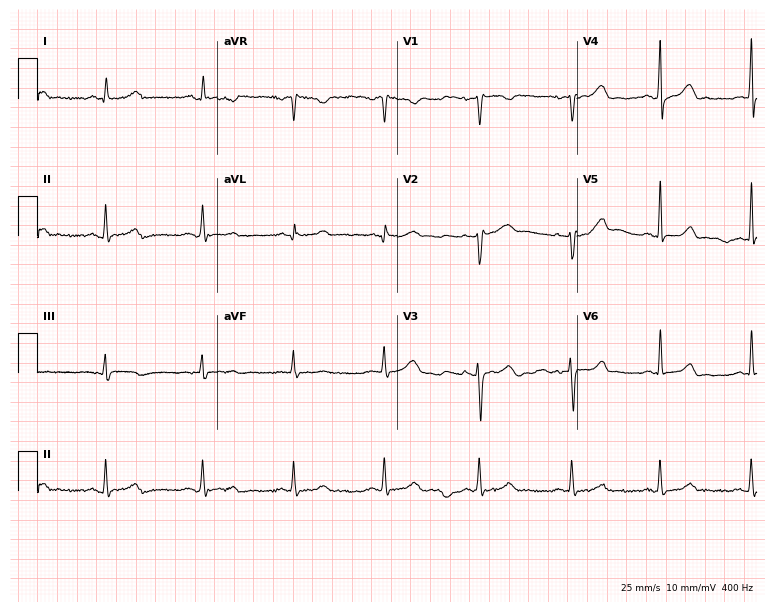
Standard 12-lead ECG recorded from a male, 72 years old (7.3-second recording at 400 Hz). Read as a normal ECG.